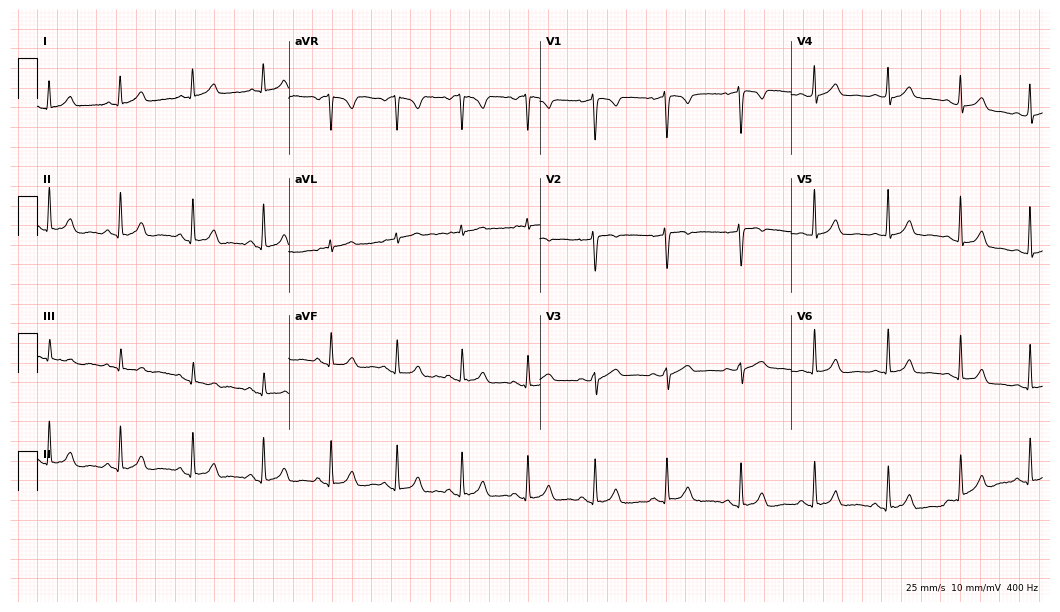
12-lead ECG from a female, 28 years old. Screened for six findings — first-degree AV block, right bundle branch block, left bundle branch block, sinus bradycardia, atrial fibrillation, sinus tachycardia — none is recorded. Other findings, if any, are not listed.